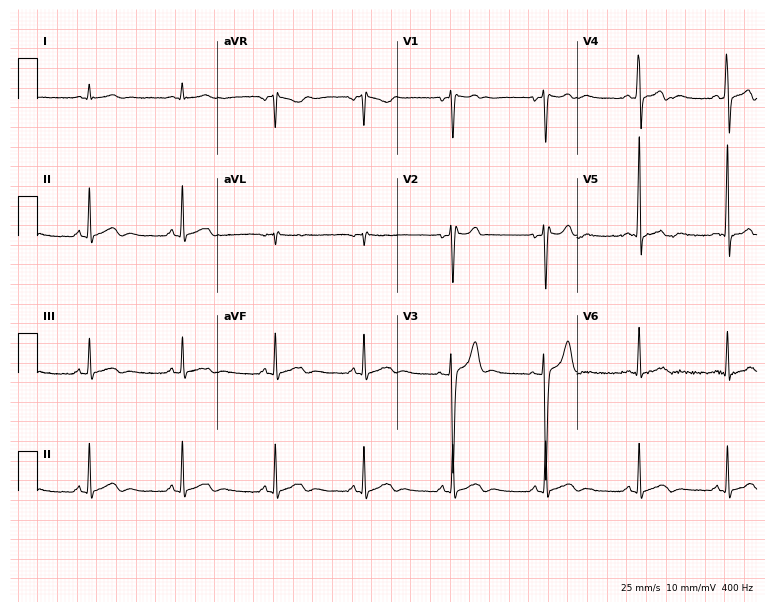
12-lead ECG from a man, 20 years old. No first-degree AV block, right bundle branch block (RBBB), left bundle branch block (LBBB), sinus bradycardia, atrial fibrillation (AF) or sinus tachycardia recorded for this tracing. Only these six findings were labelled.